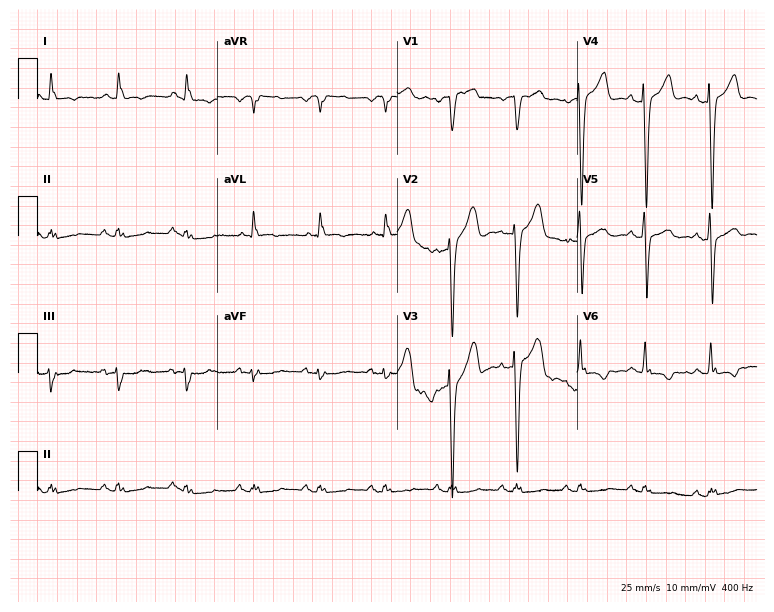
Resting 12-lead electrocardiogram. Patient: a male, 64 years old. None of these six findings is recorded: first-degree AV block, right bundle branch block (RBBB), left bundle branch block (LBBB), sinus bradycardia, atrial fibrillation (AF), sinus tachycardia. Other findings, if any, are not listed.